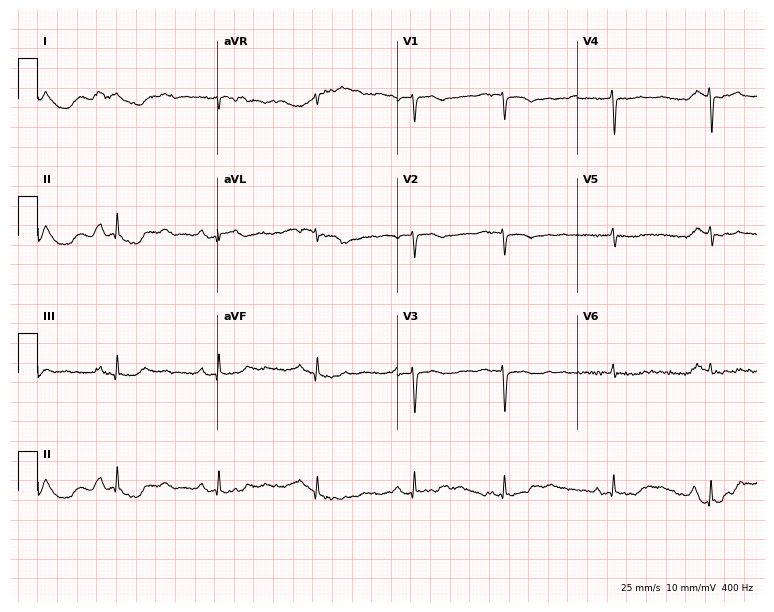
12-lead ECG (7.3-second recording at 400 Hz) from a male patient, 80 years old. Screened for six findings — first-degree AV block, right bundle branch block, left bundle branch block, sinus bradycardia, atrial fibrillation, sinus tachycardia — none is recorded.